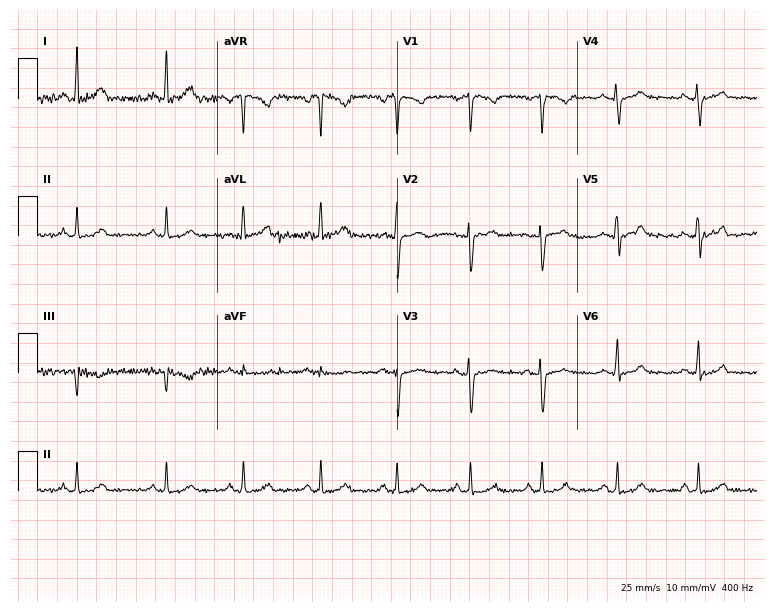
Electrocardiogram (7.3-second recording at 400 Hz), a 33-year-old woman. Of the six screened findings (first-degree AV block, right bundle branch block, left bundle branch block, sinus bradycardia, atrial fibrillation, sinus tachycardia), none is recorded.